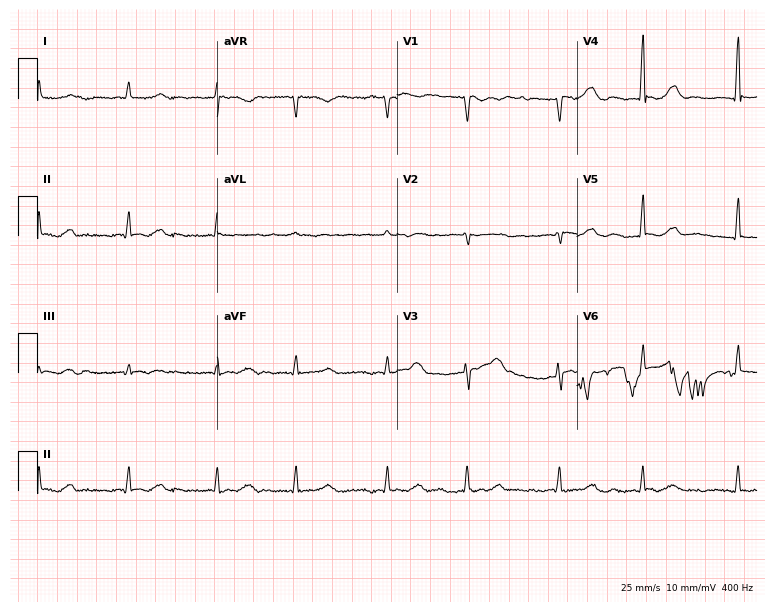
12-lead ECG from a 52-year-old woman. No first-degree AV block, right bundle branch block, left bundle branch block, sinus bradycardia, atrial fibrillation or sinus tachycardia recorded for this tracing. Other findings, if any, are not listed.